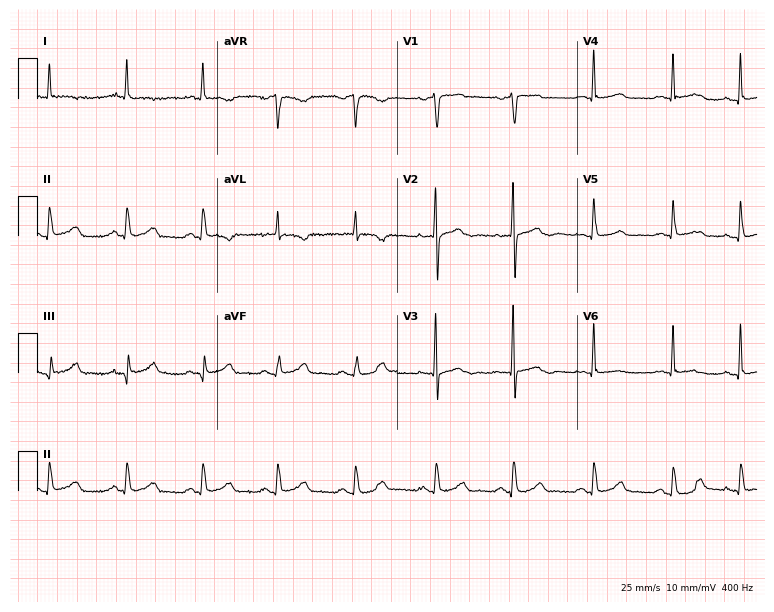
Electrocardiogram, a woman, 82 years old. Overall reading on record: normal ECG.